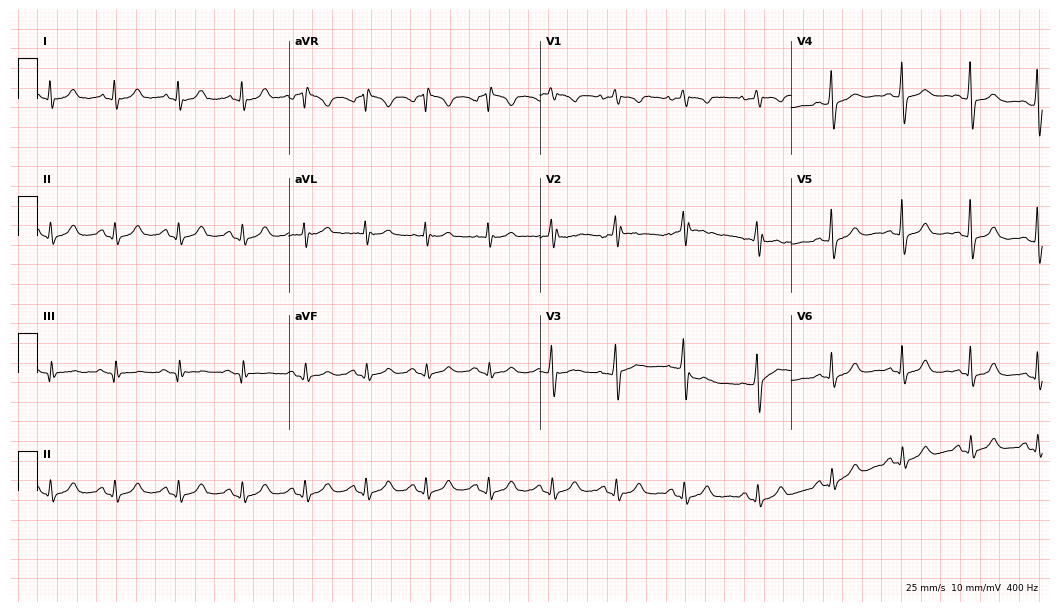
12-lead ECG (10.2-second recording at 400 Hz) from a female patient, 39 years old. Labelled as a normal ECG.